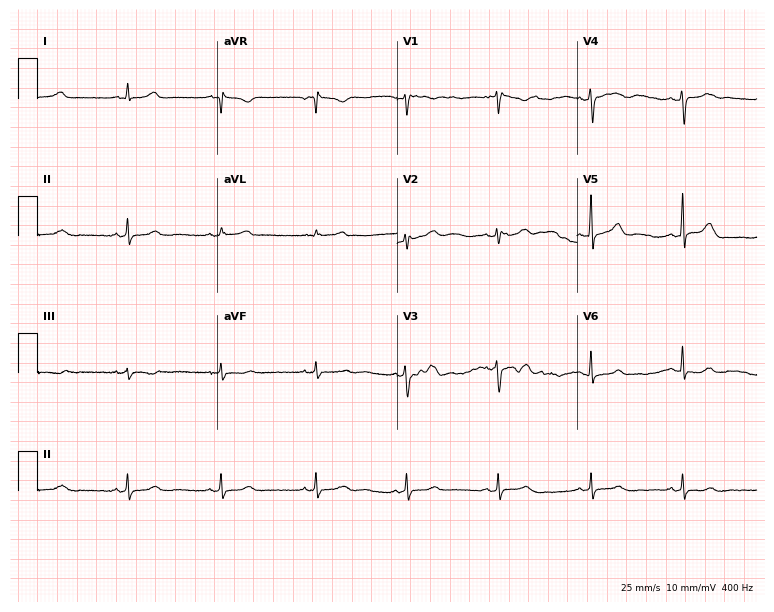
12-lead ECG from a female, 40 years old (7.3-second recording at 400 Hz). Recorded interpretation: within normal limits.